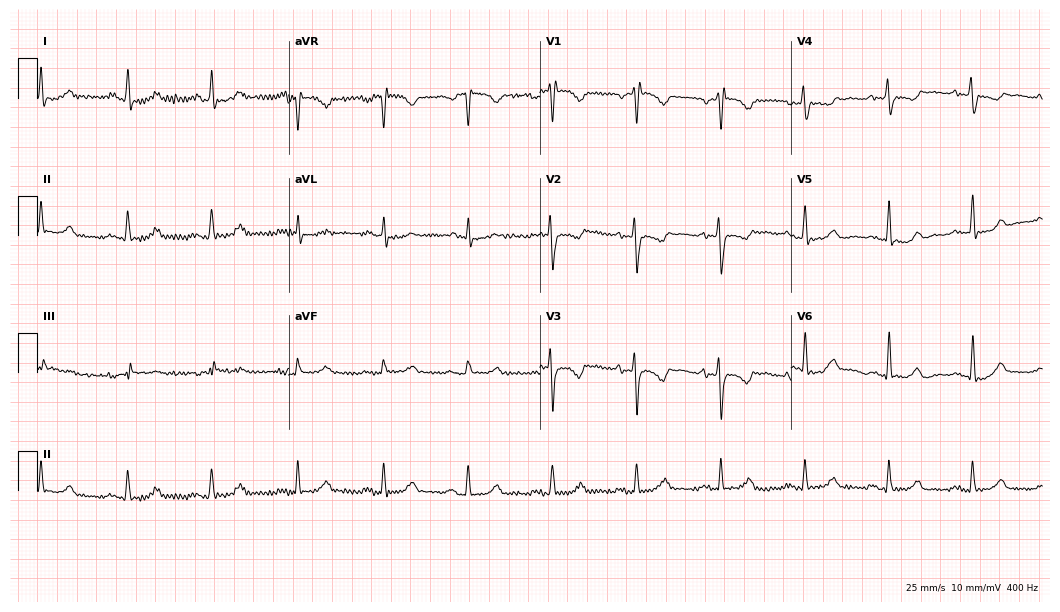
12-lead ECG from a female, 40 years old (10.2-second recording at 400 Hz). No first-degree AV block, right bundle branch block, left bundle branch block, sinus bradycardia, atrial fibrillation or sinus tachycardia recorded for this tracing.